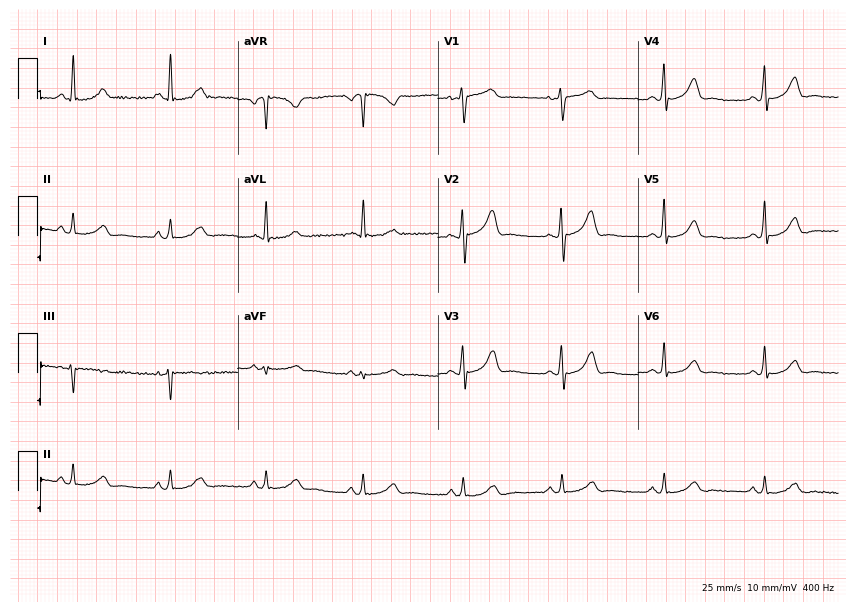
Standard 12-lead ECG recorded from a female patient, 47 years old. Read as a normal ECG.